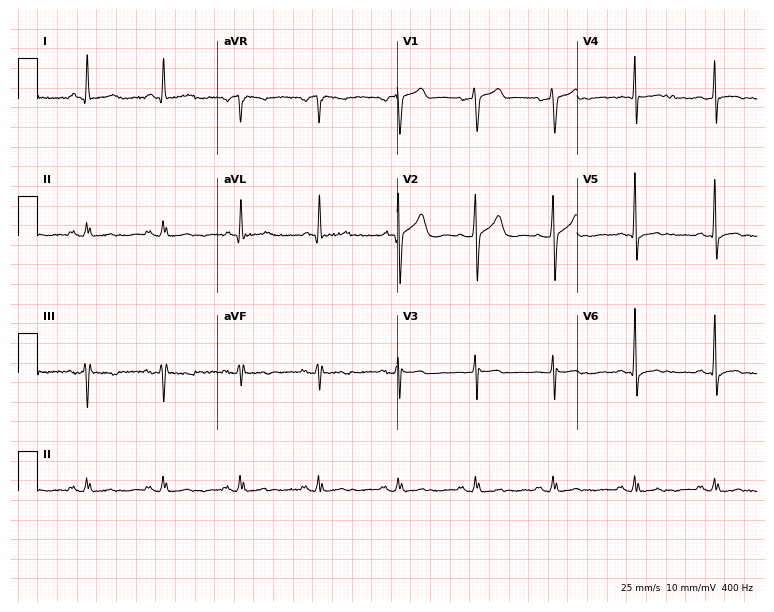
Electrocardiogram, a 68-year-old male patient. Of the six screened findings (first-degree AV block, right bundle branch block, left bundle branch block, sinus bradycardia, atrial fibrillation, sinus tachycardia), none is recorded. Only these six findings were labelled.